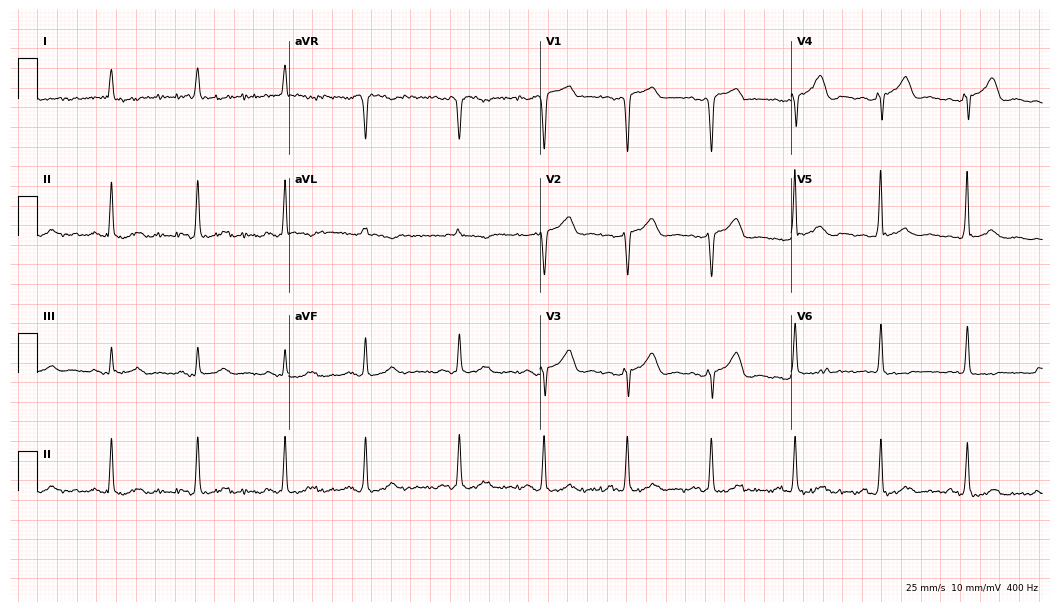
ECG (10.2-second recording at 400 Hz) — a woman, 77 years old. Screened for six findings — first-degree AV block, right bundle branch block, left bundle branch block, sinus bradycardia, atrial fibrillation, sinus tachycardia — none is recorded.